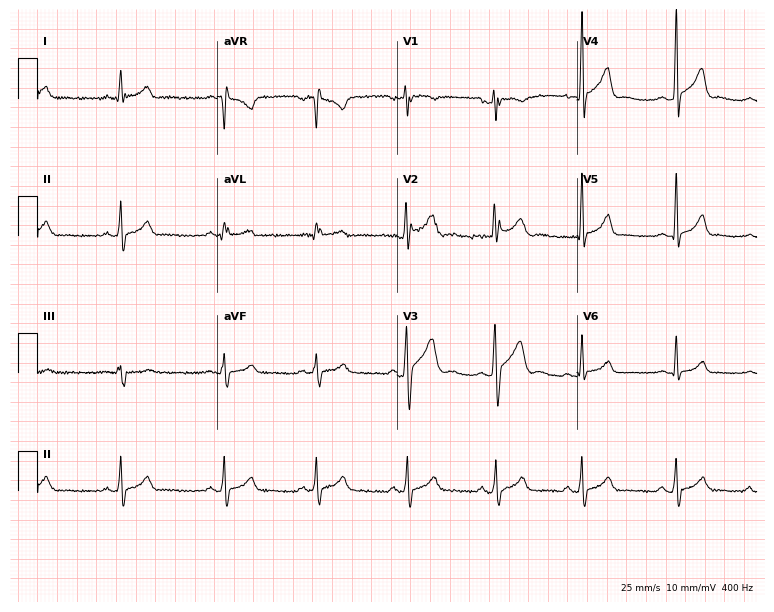
12-lead ECG from a male patient, 19 years old. Recorded interpretation: within normal limits.